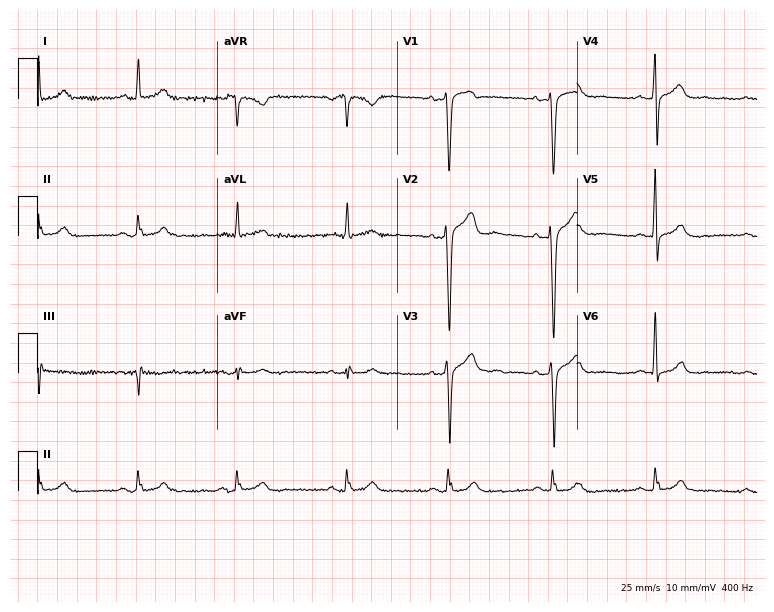
Resting 12-lead electrocardiogram (7.3-second recording at 400 Hz). Patient: a 38-year-old man. Read as a normal ECG.